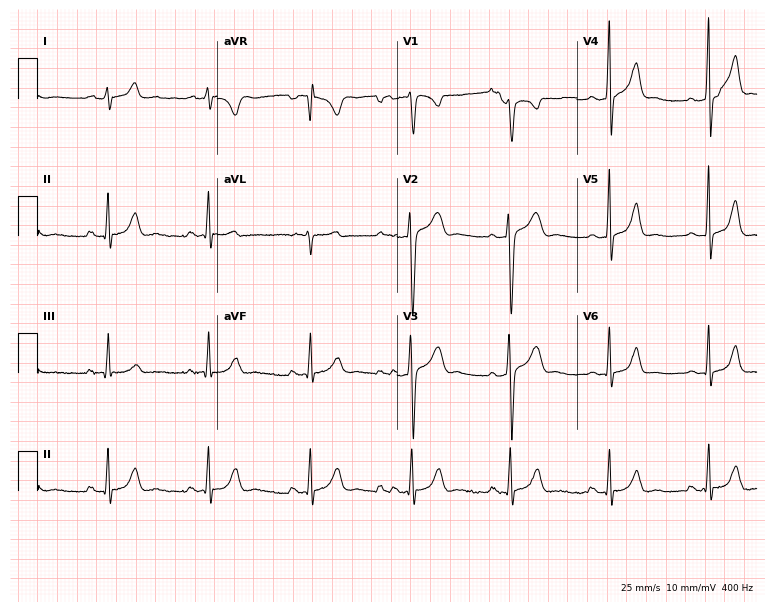
12-lead ECG from a male patient, 26 years old. Recorded interpretation: within normal limits.